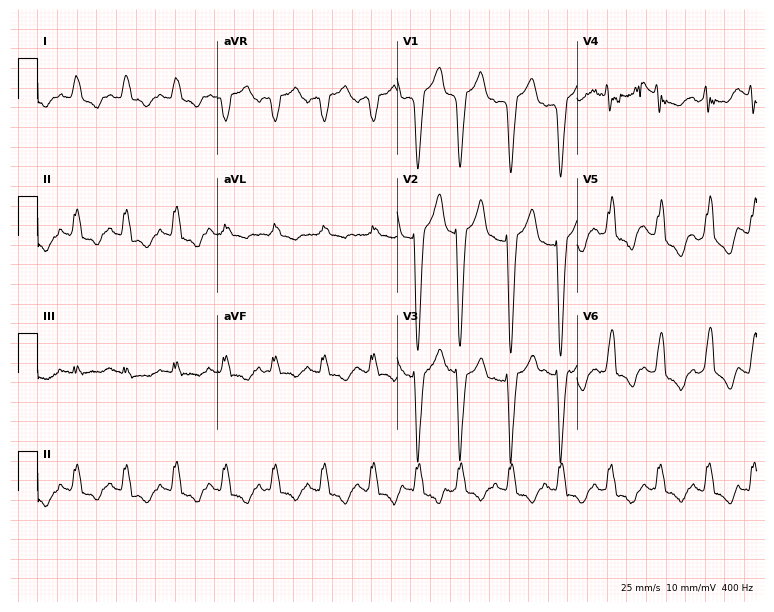
Resting 12-lead electrocardiogram (7.3-second recording at 400 Hz). Patient: an 80-year-old female. The tracing shows left bundle branch block, sinus tachycardia (a sinus rate of 100 beats per minute or more).